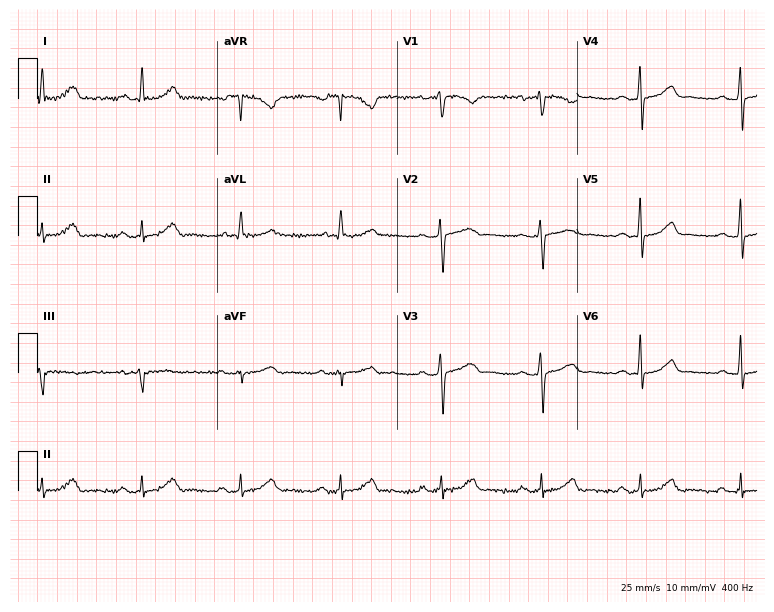
12-lead ECG from a woman, 57 years old (7.3-second recording at 400 Hz). No first-degree AV block, right bundle branch block, left bundle branch block, sinus bradycardia, atrial fibrillation or sinus tachycardia recorded for this tracing.